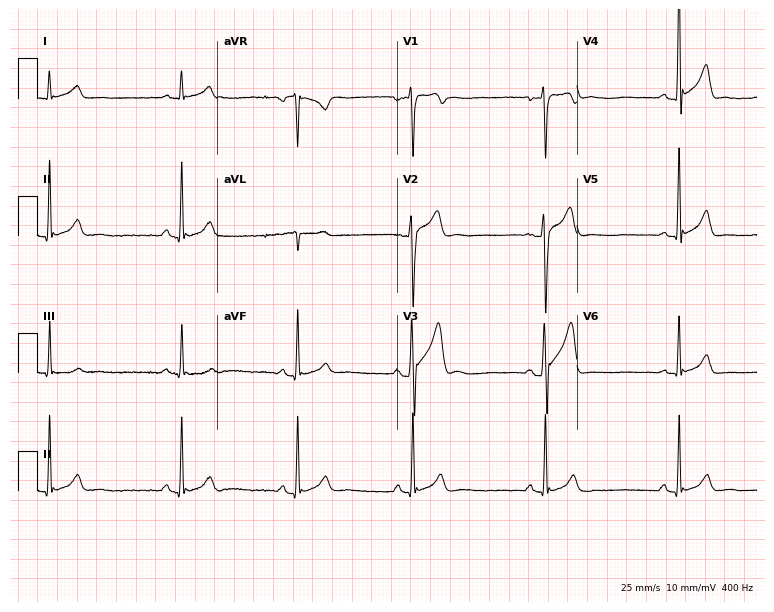
Standard 12-lead ECG recorded from a man, 21 years old. The tracing shows sinus bradycardia (a sinus rate of 50 beats per minute or less).